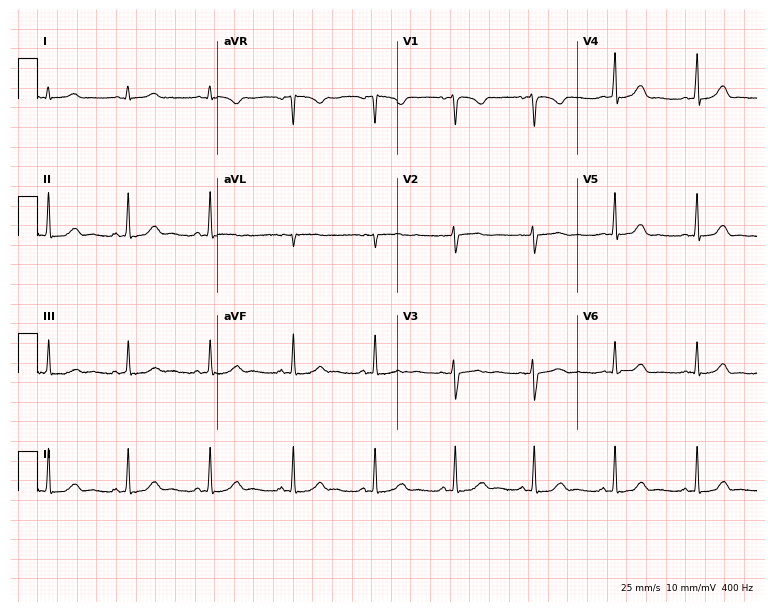
12-lead ECG (7.3-second recording at 400 Hz) from a 40-year-old male patient. Labelled as a normal ECG.